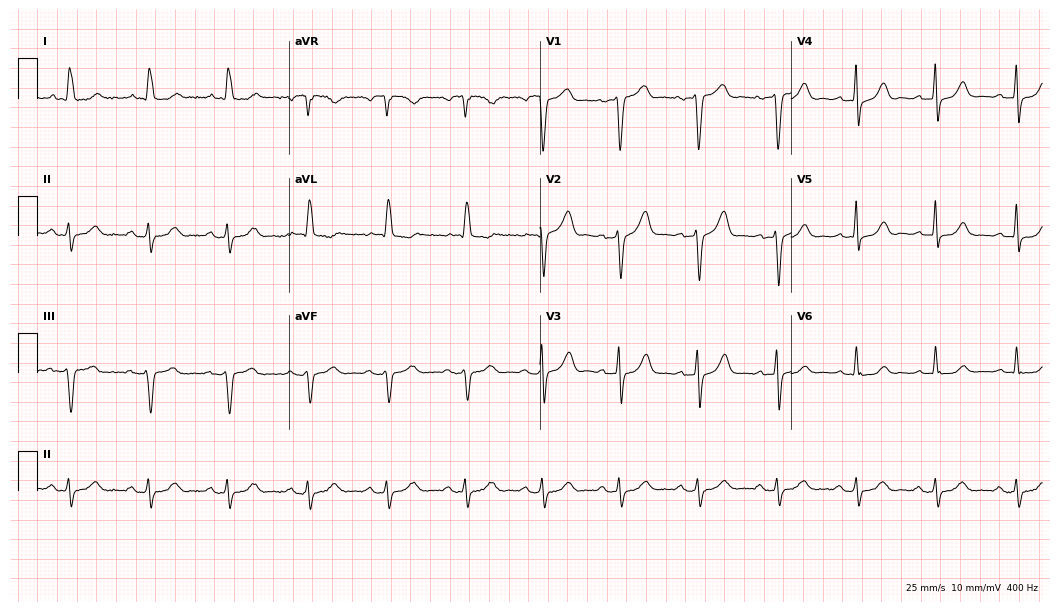
ECG (10.2-second recording at 400 Hz) — a 77-year-old woman. Screened for six findings — first-degree AV block, right bundle branch block, left bundle branch block, sinus bradycardia, atrial fibrillation, sinus tachycardia — none is recorded.